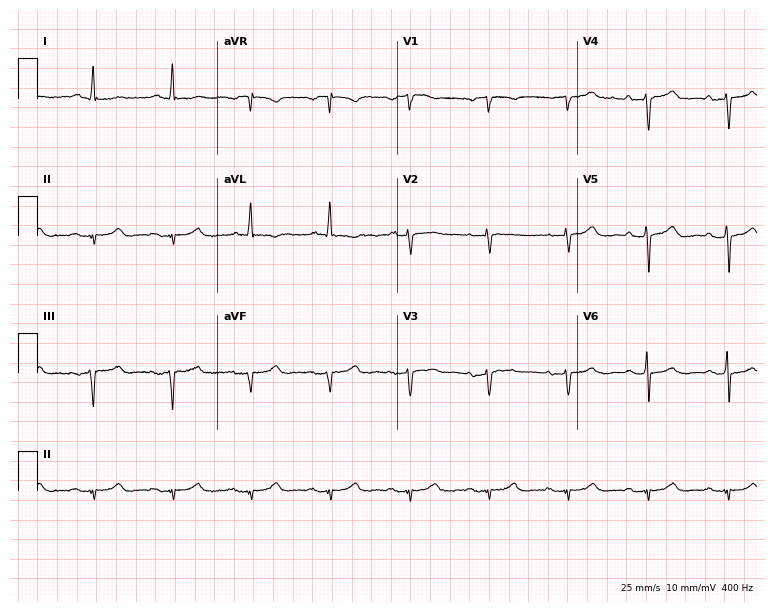
Electrocardiogram, a male, 86 years old. Of the six screened findings (first-degree AV block, right bundle branch block, left bundle branch block, sinus bradycardia, atrial fibrillation, sinus tachycardia), none is recorded.